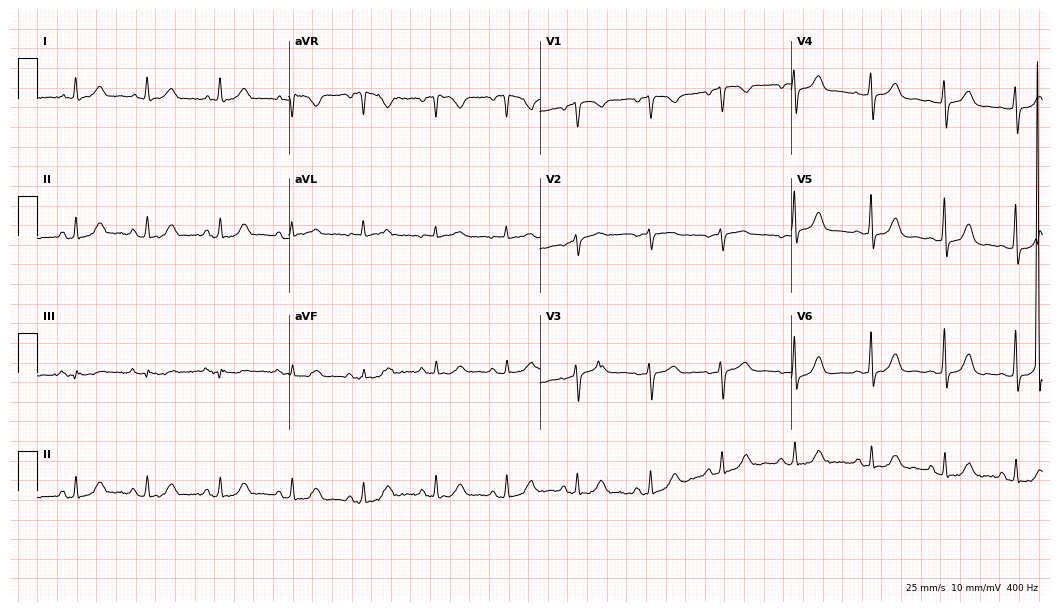
12-lead ECG from a 73-year-old female (10.2-second recording at 400 Hz). Recorded interpretation: within normal limits.